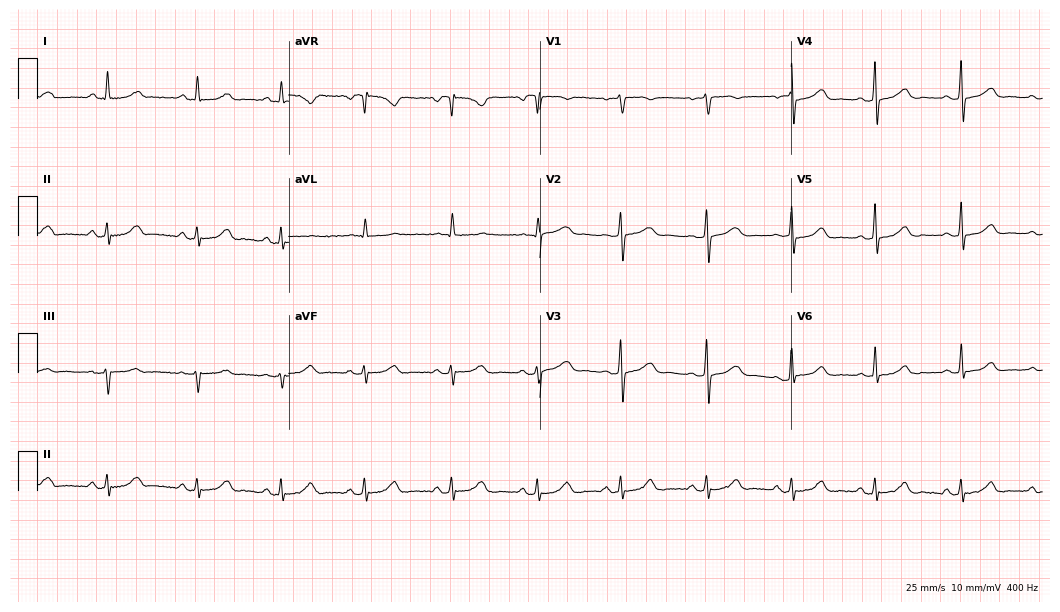
12-lead ECG from a female, 56 years old. Recorded interpretation: within normal limits.